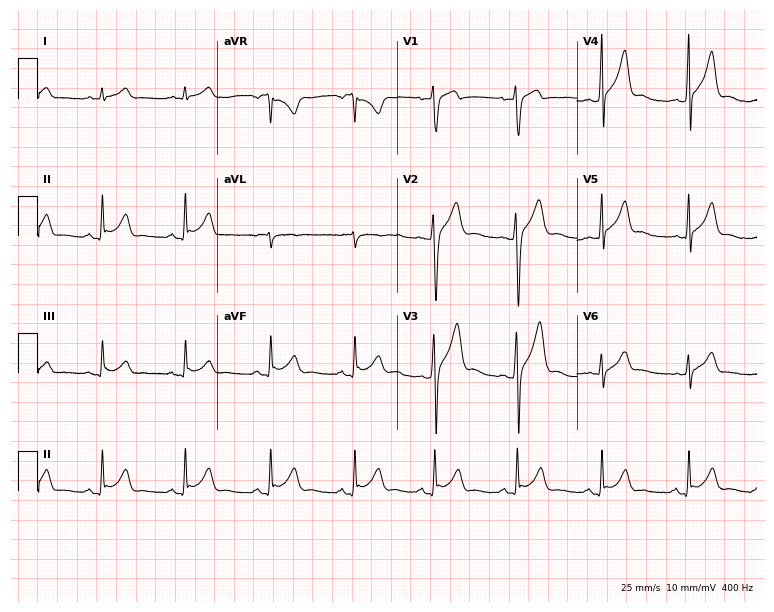
Resting 12-lead electrocardiogram (7.3-second recording at 400 Hz). Patient: a 22-year-old male. None of these six findings is recorded: first-degree AV block, right bundle branch block, left bundle branch block, sinus bradycardia, atrial fibrillation, sinus tachycardia.